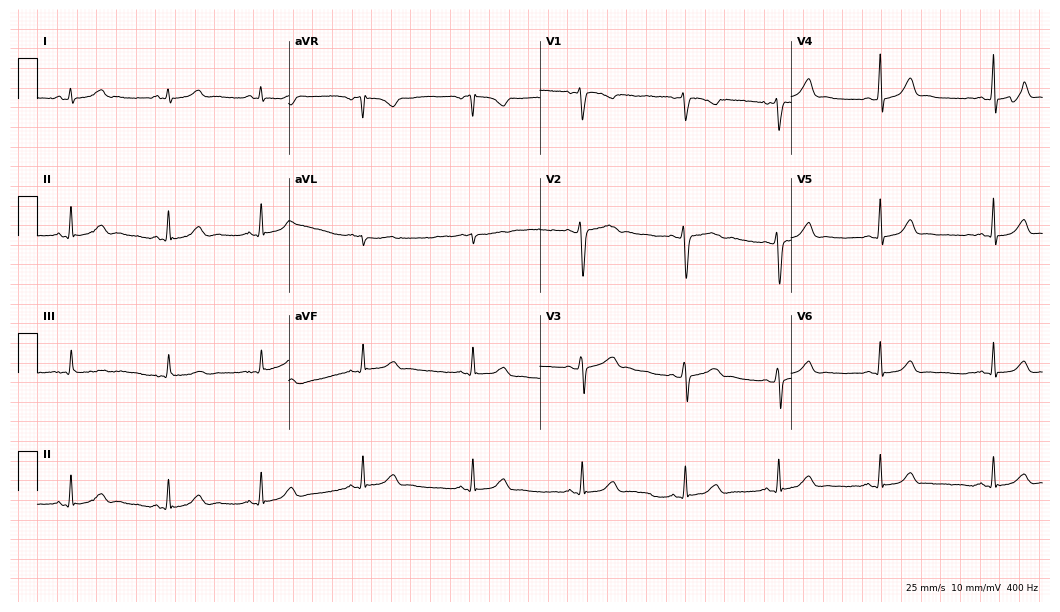
Resting 12-lead electrocardiogram (10.2-second recording at 400 Hz). Patient: a 31-year-old female. Read as a normal ECG.